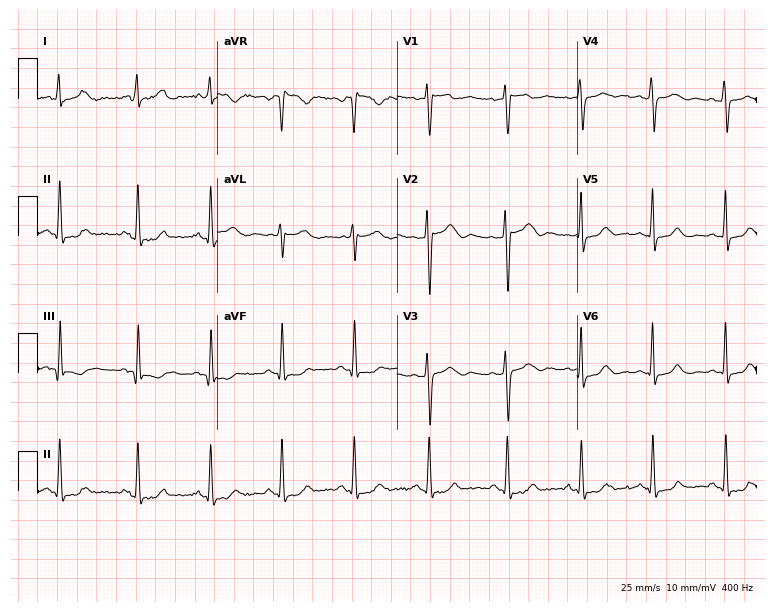
Resting 12-lead electrocardiogram. Patient: a 33-year-old female. None of these six findings is recorded: first-degree AV block, right bundle branch block, left bundle branch block, sinus bradycardia, atrial fibrillation, sinus tachycardia.